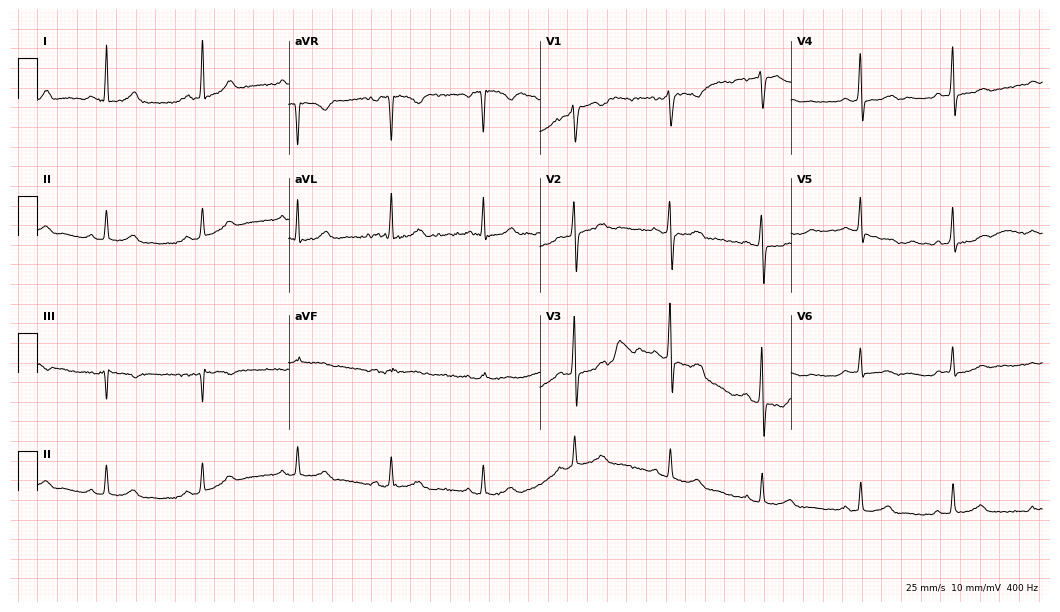
Electrocardiogram, a 33-year-old female. Of the six screened findings (first-degree AV block, right bundle branch block, left bundle branch block, sinus bradycardia, atrial fibrillation, sinus tachycardia), none is recorded. Findings outside these six are not listed.